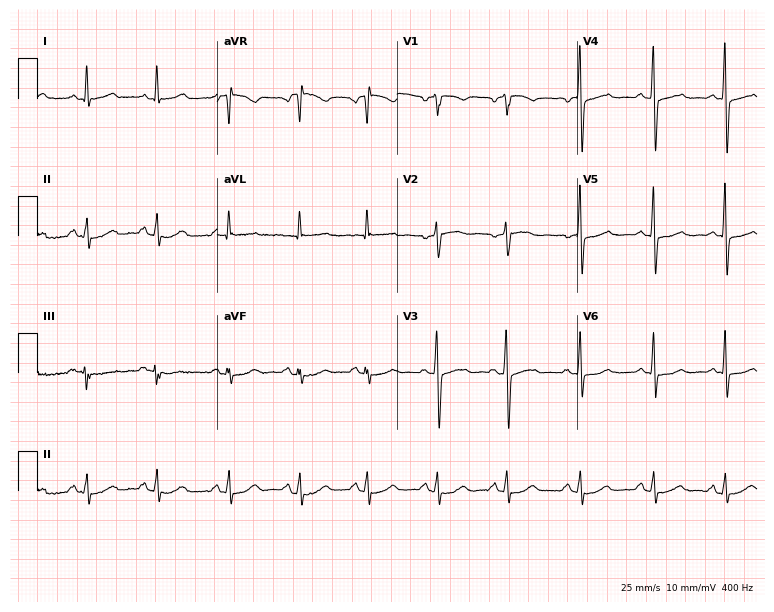
ECG — a female, 35 years old. Labelled as a normal ECG.